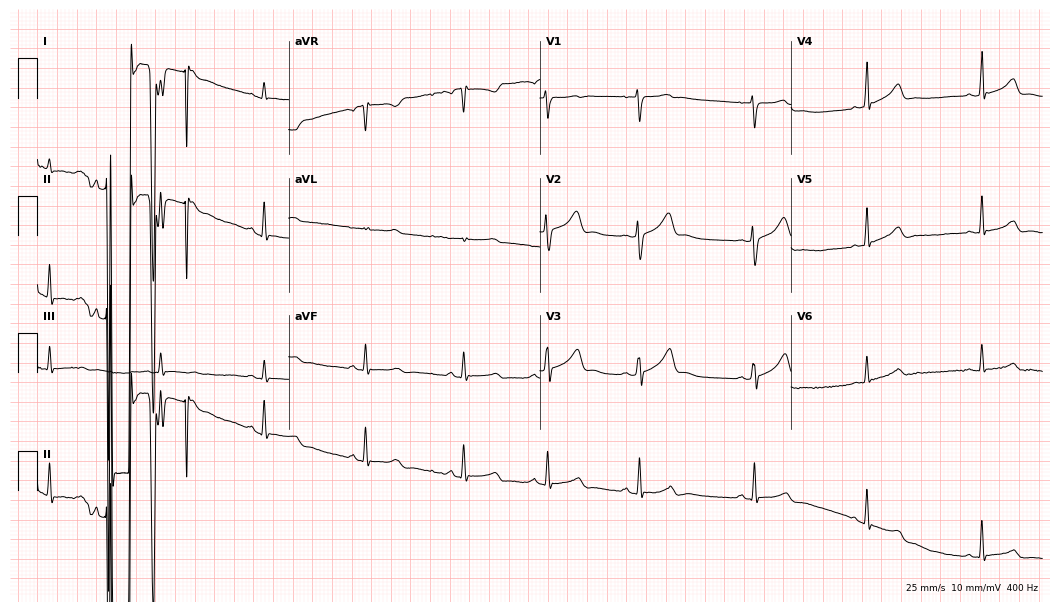
Electrocardiogram (10.2-second recording at 400 Hz), a 24-year-old woman. Of the six screened findings (first-degree AV block, right bundle branch block, left bundle branch block, sinus bradycardia, atrial fibrillation, sinus tachycardia), none is recorded.